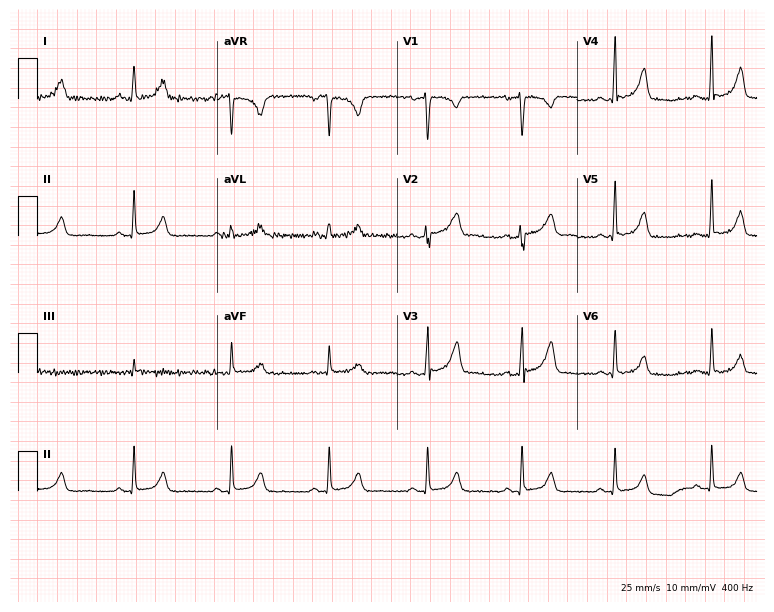
Standard 12-lead ECG recorded from a 37-year-old female. Read as a normal ECG.